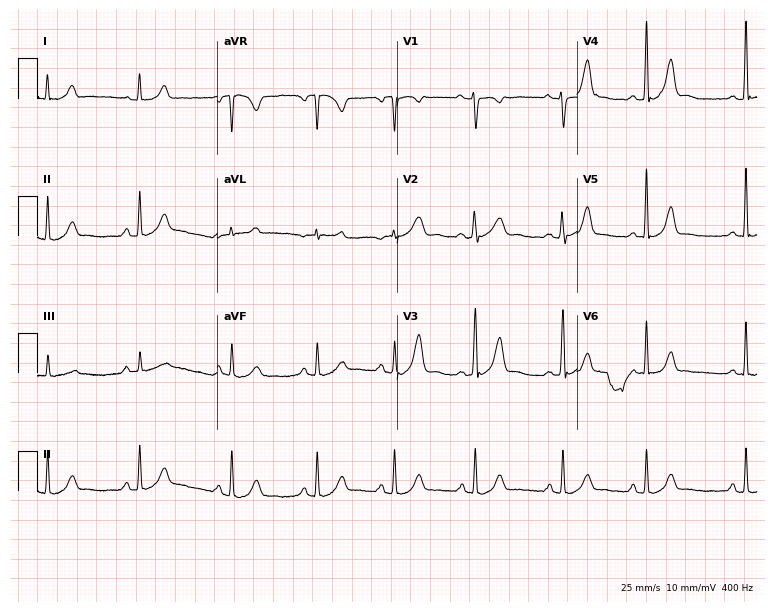
Electrocardiogram (7.3-second recording at 400 Hz), a 29-year-old woman. Of the six screened findings (first-degree AV block, right bundle branch block, left bundle branch block, sinus bradycardia, atrial fibrillation, sinus tachycardia), none is recorded.